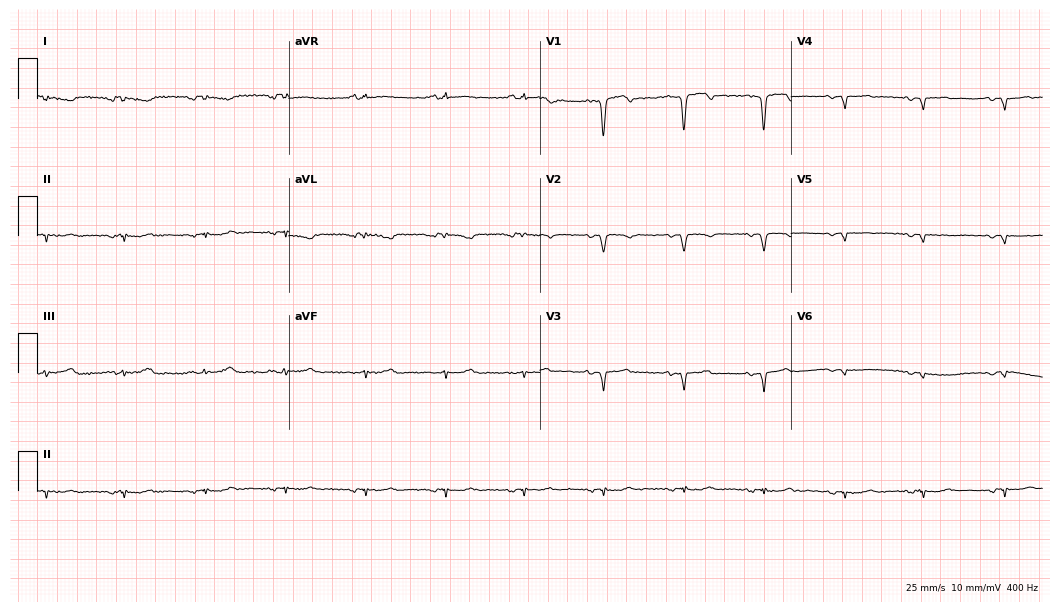
12-lead ECG from a male patient, 61 years old (10.2-second recording at 400 Hz). No first-degree AV block, right bundle branch block (RBBB), left bundle branch block (LBBB), sinus bradycardia, atrial fibrillation (AF) or sinus tachycardia recorded for this tracing.